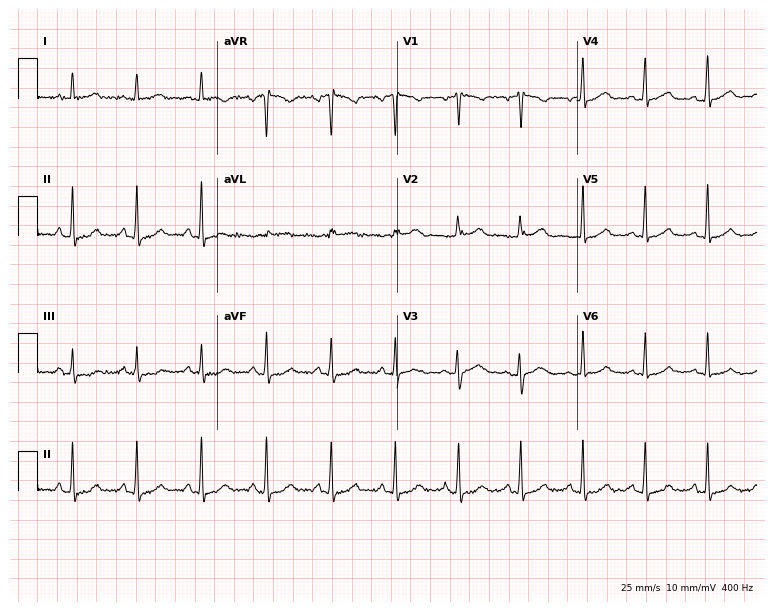
12-lead ECG from a female, 40 years old. Labelled as a normal ECG.